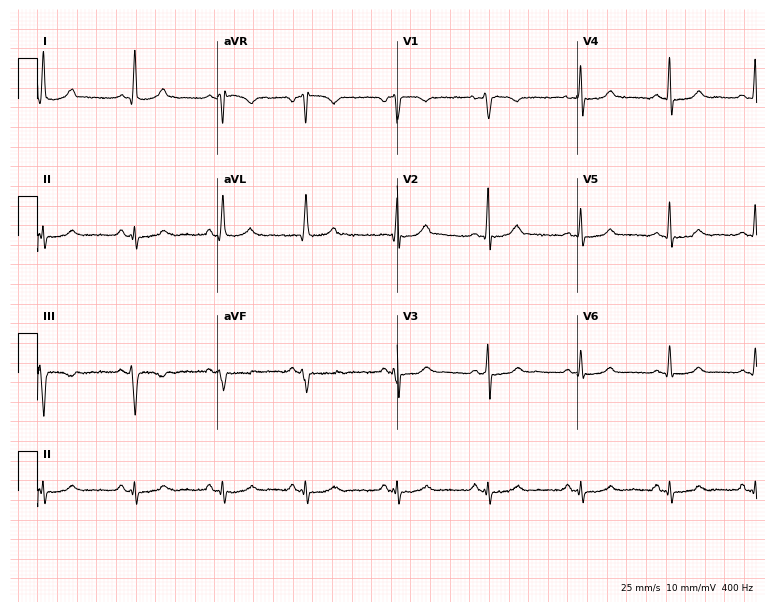
Resting 12-lead electrocardiogram. Patient: a female, 62 years old. None of these six findings is recorded: first-degree AV block, right bundle branch block, left bundle branch block, sinus bradycardia, atrial fibrillation, sinus tachycardia.